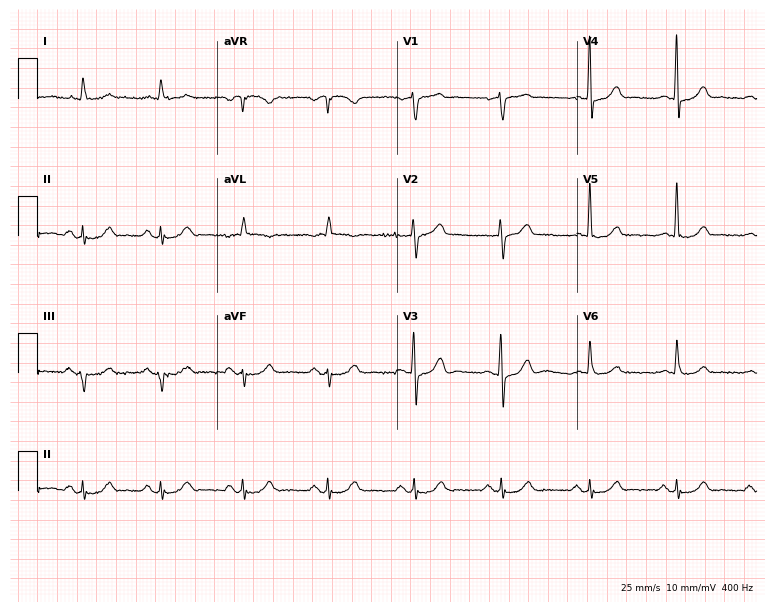
Resting 12-lead electrocardiogram. Patient: a male, 73 years old. None of these six findings is recorded: first-degree AV block, right bundle branch block, left bundle branch block, sinus bradycardia, atrial fibrillation, sinus tachycardia.